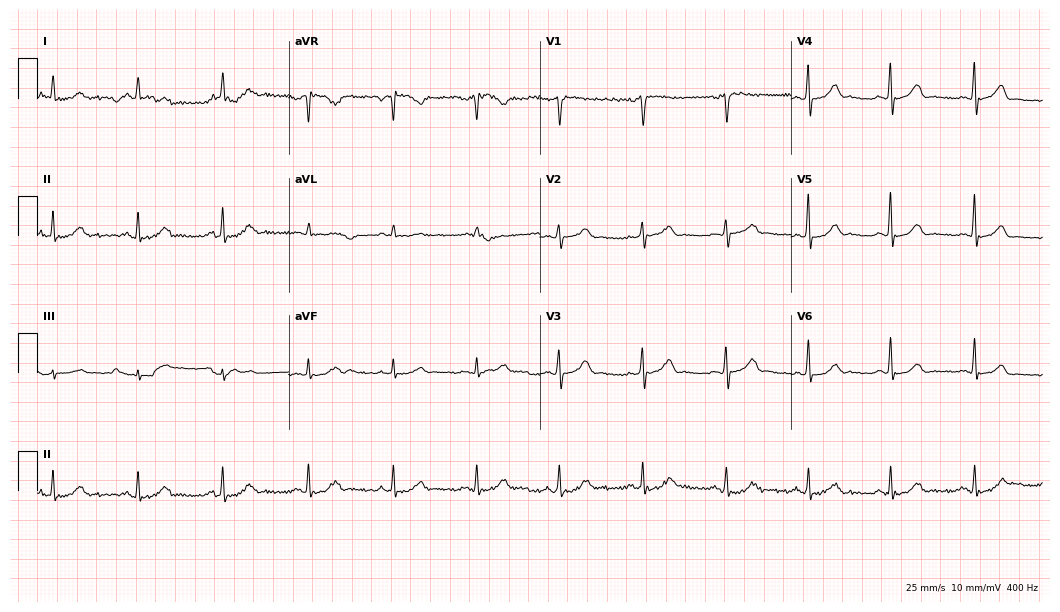
12-lead ECG from a woman, 42 years old. Screened for six findings — first-degree AV block, right bundle branch block, left bundle branch block, sinus bradycardia, atrial fibrillation, sinus tachycardia — none is recorded.